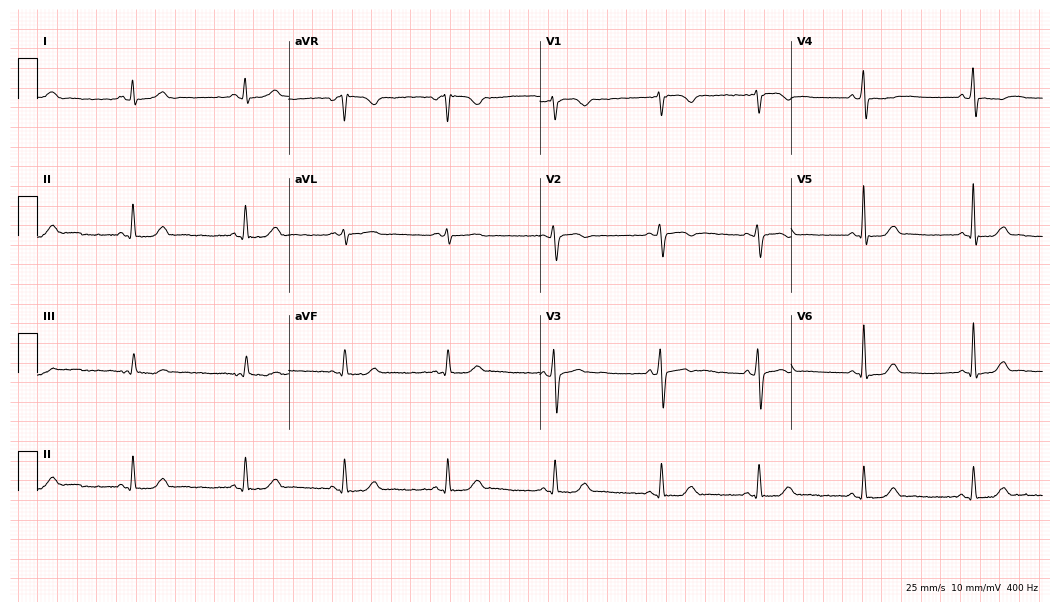
Electrocardiogram (10.2-second recording at 400 Hz), a 30-year-old woman. Overall reading on record: normal ECG.